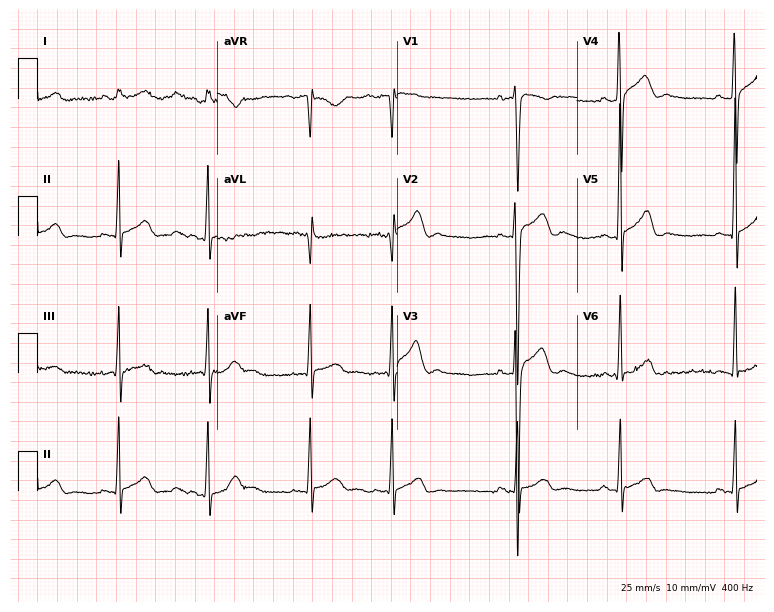
12-lead ECG from a 17-year-old male (7.3-second recording at 400 Hz). No first-degree AV block, right bundle branch block, left bundle branch block, sinus bradycardia, atrial fibrillation or sinus tachycardia recorded for this tracing.